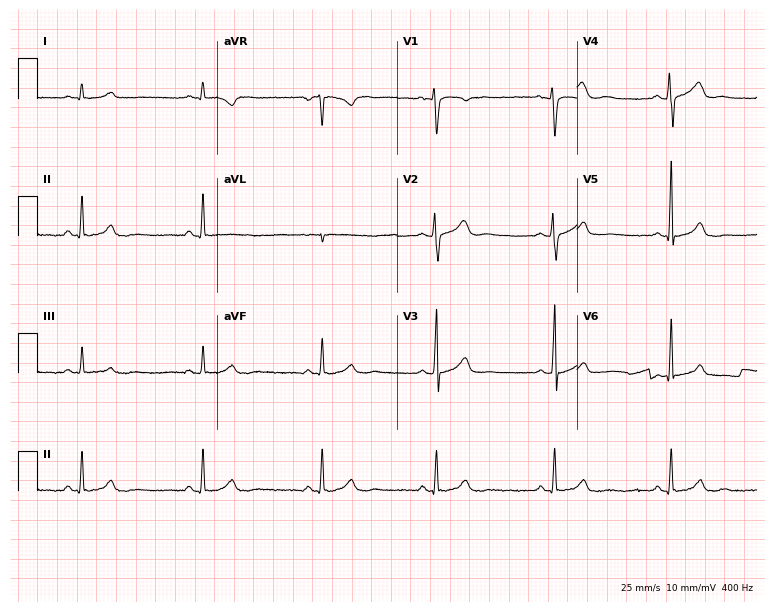
Resting 12-lead electrocardiogram. Patient: a 30-year-old female. The tracing shows sinus bradycardia (a sinus rate of 50 beats per minute or less).